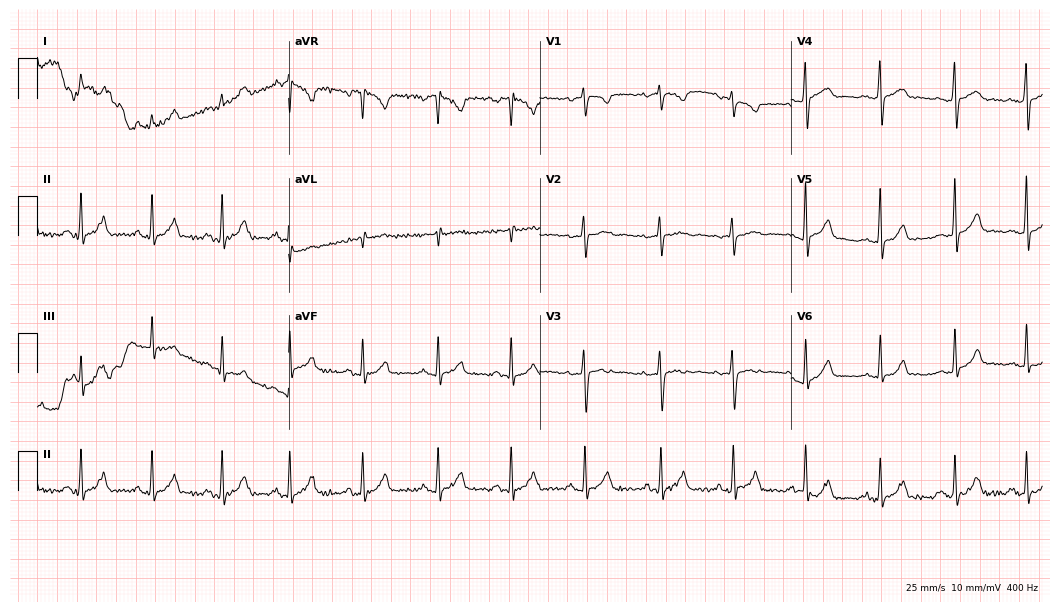
12-lead ECG from a woman, 21 years old (10.2-second recording at 400 Hz). No first-degree AV block, right bundle branch block, left bundle branch block, sinus bradycardia, atrial fibrillation or sinus tachycardia recorded for this tracing.